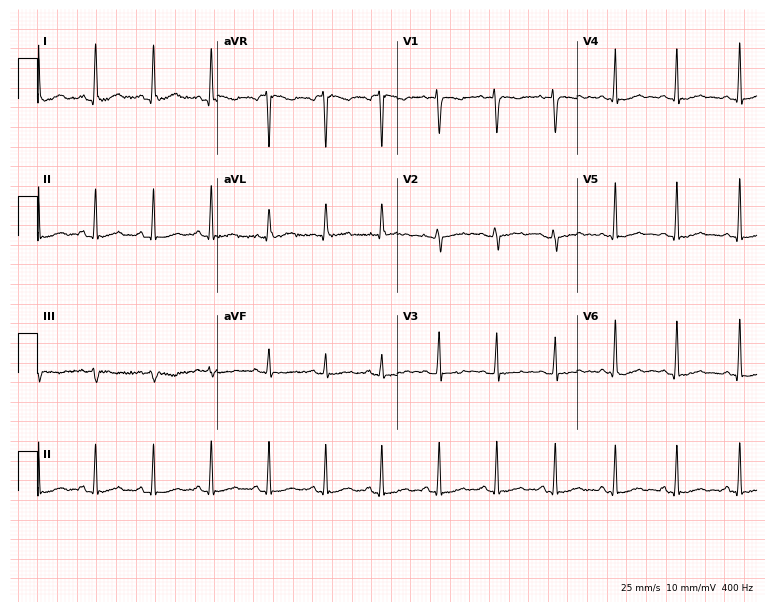
12-lead ECG from a 31-year-old woman. Shows sinus tachycardia (a sinus rate of 100 beats per minute or more).